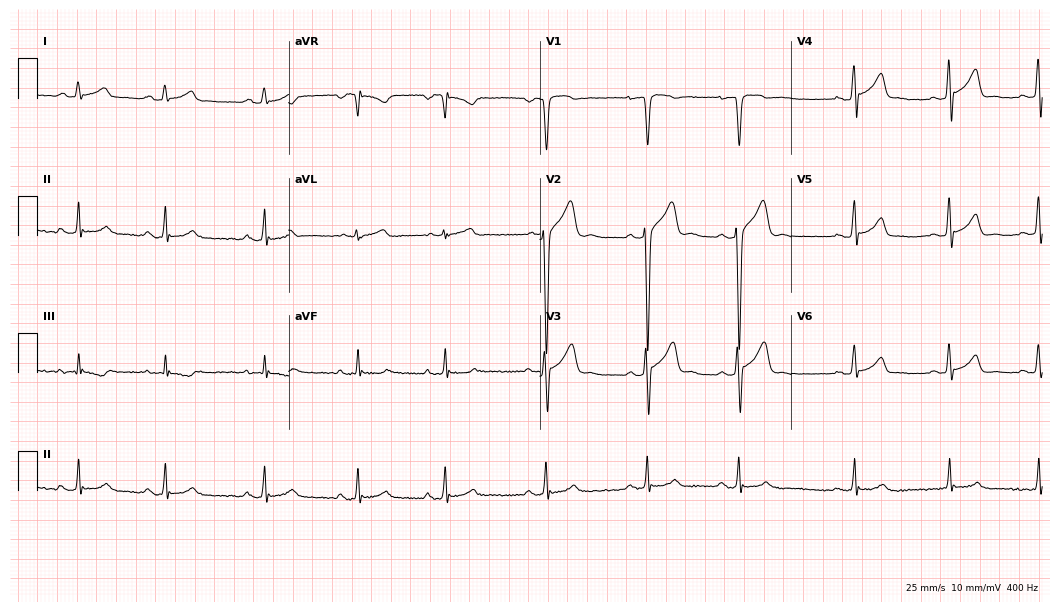
Resting 12-lead electrocardiogram. Patient: a 17-year-old male. Read as a normal ECG.